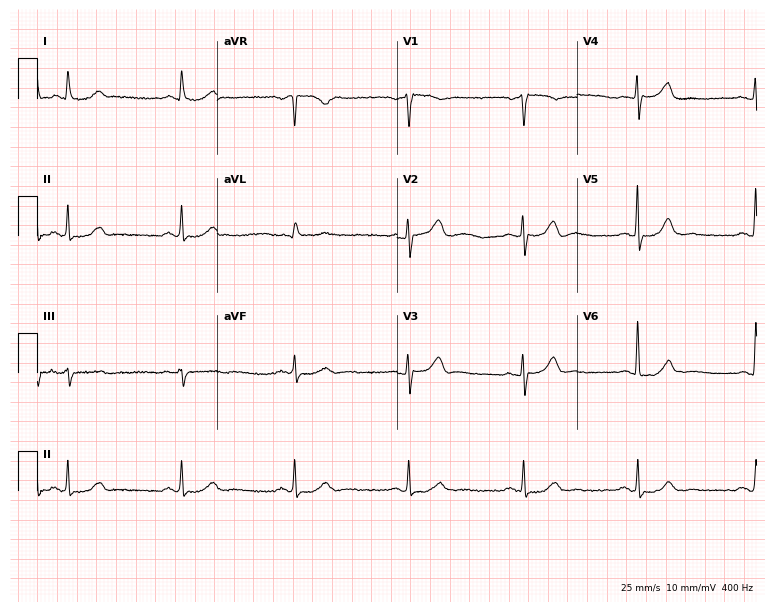
Standard 12-lead ECG recorded from a 72-year-old male (7.3-second recording at 400 Hz). Read as a normal ECG.